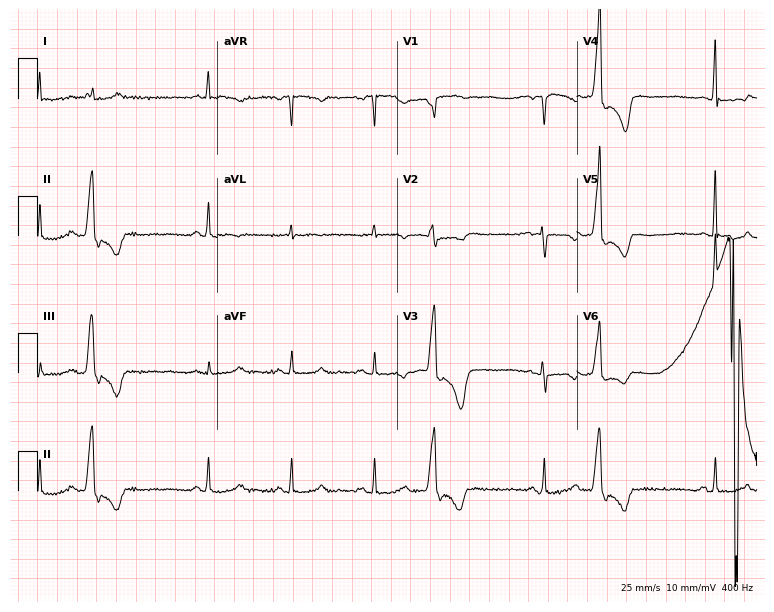
12-lead ECG from a female, 62 years old. No first-degree AV block, right bundle branch block, left bundle branch block, sinus bradycardia, atrial fibrillation or sinus tachycardia recorded for this tracing.